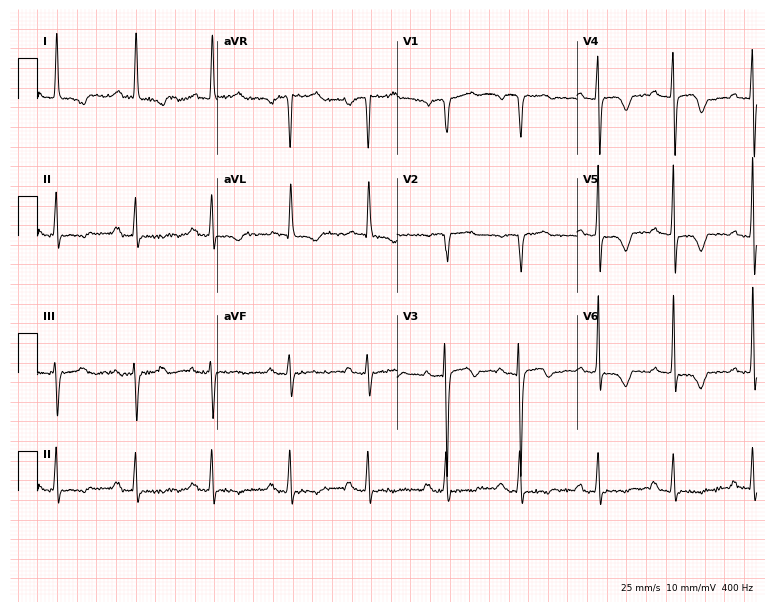
Electrocardiogram, a woman, 84 years old. Of the six screened findings (first-degree AV block, right bundle branch block, left bundle branch block, sinus bradycardia, atrial fibrillation, sinus tachycardia), none is recorded. Findings outside these six are not listed.